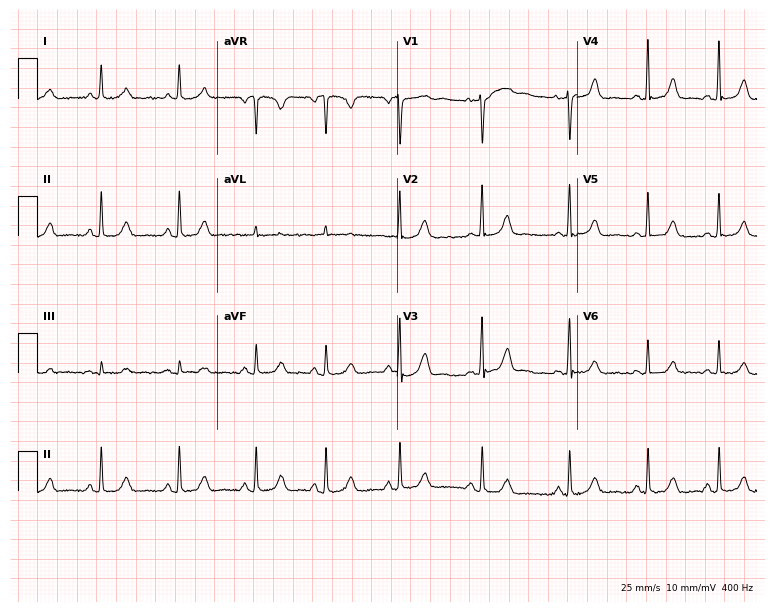
12-lead ECG from a female, 32 years old. Recorded interpretation: within normal limits.